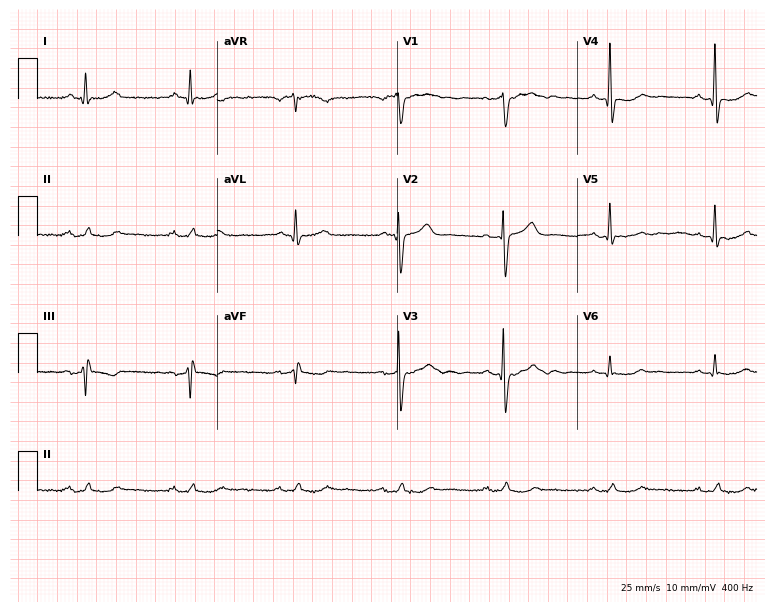
Resting 12-lead electrocardiogram. Patient: a 61-year-old male. None of these six findings is recorded: first-degree AV block, right bundle branch block (RBBB), left bundle branch block (LBBB), sinus bradycardia, atrial fibrillation (AF), sinus tachycardia.